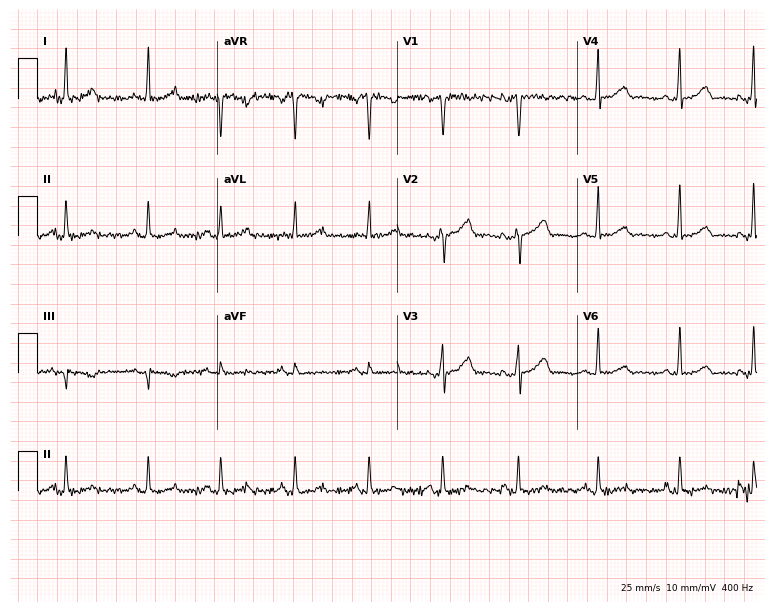
ECG — a woman, 44 years old. Labelled as a normal ECG.